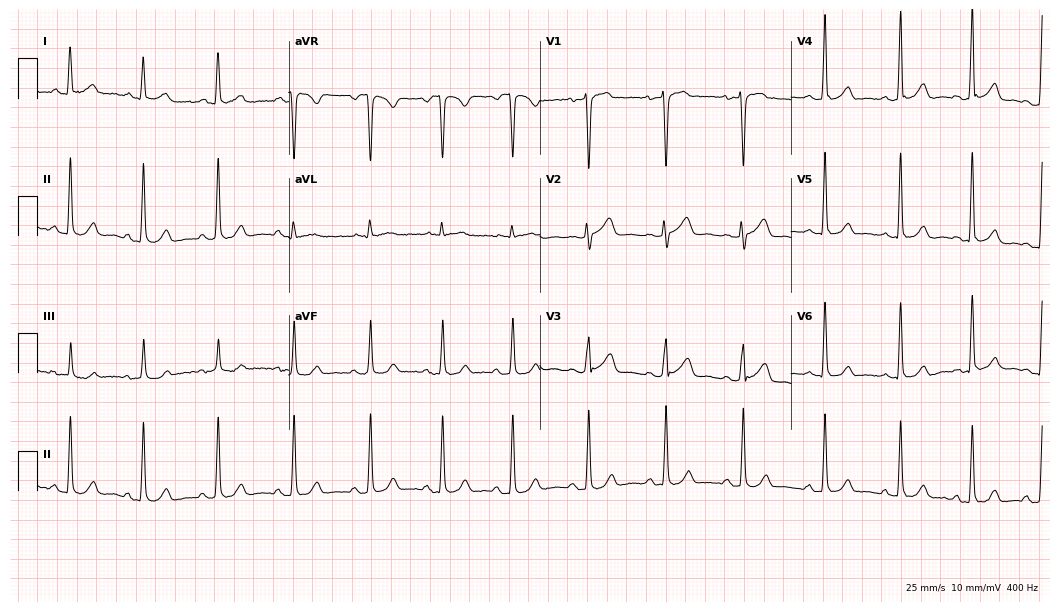
Resting 12-lead electrocardiogram. Patient: a female, 31 years old. None of these six findings is recorded: first-degree AV block, right bundle branch block, left bundle branch block, sinus bradycardia, atrial fibrillation, sinus tachycardia. Other findings, if any, are not listed.